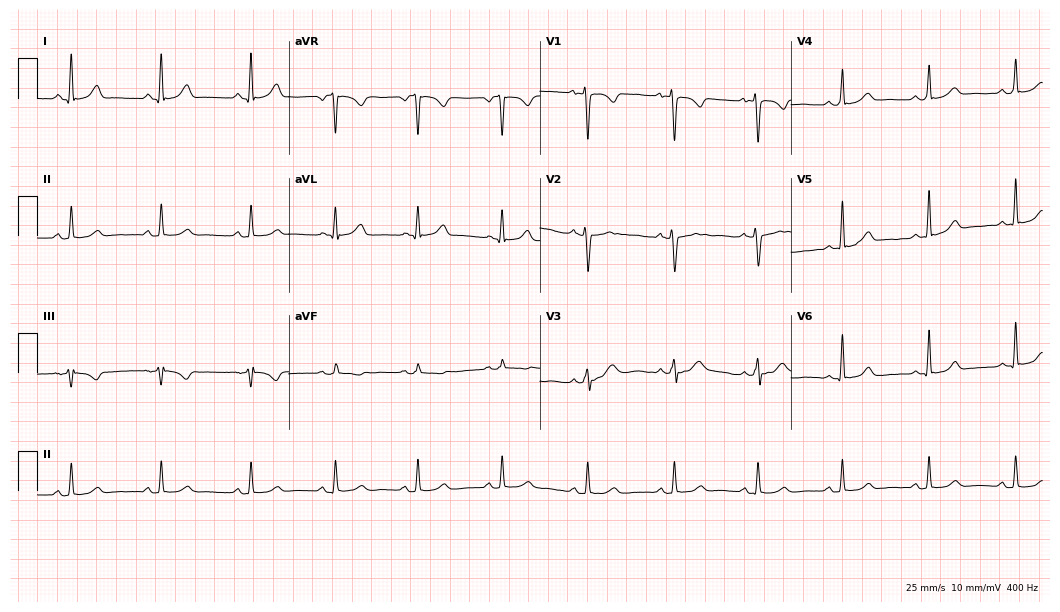
ECG (10.2-second recording at 400 Hz) — a woman, 26 years old. Labelled as a normal ECG.